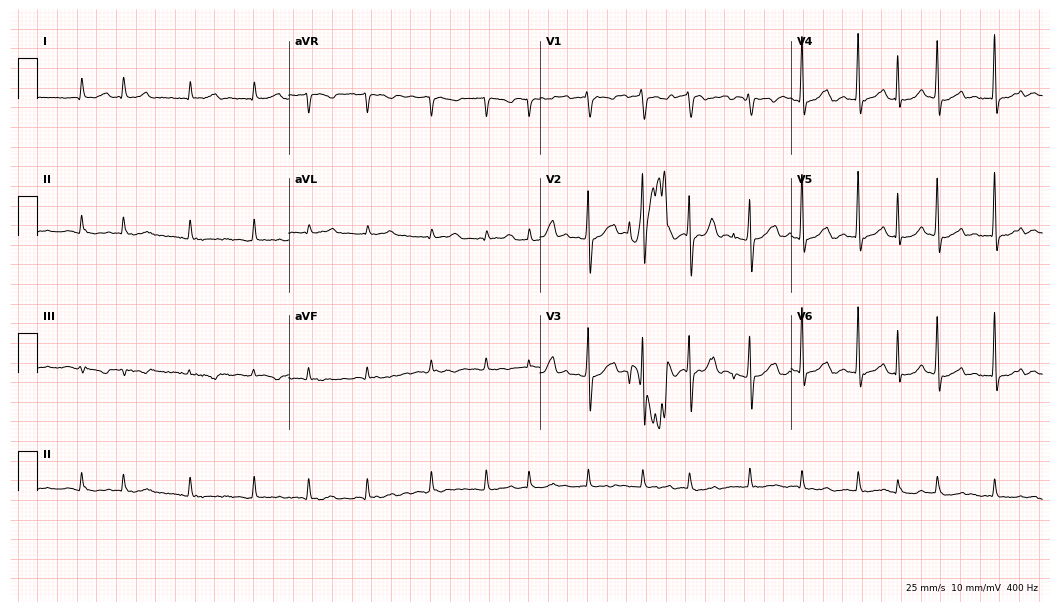
12-lead ECG from a female patient, 84 years old. Shows atrial fibrillation.